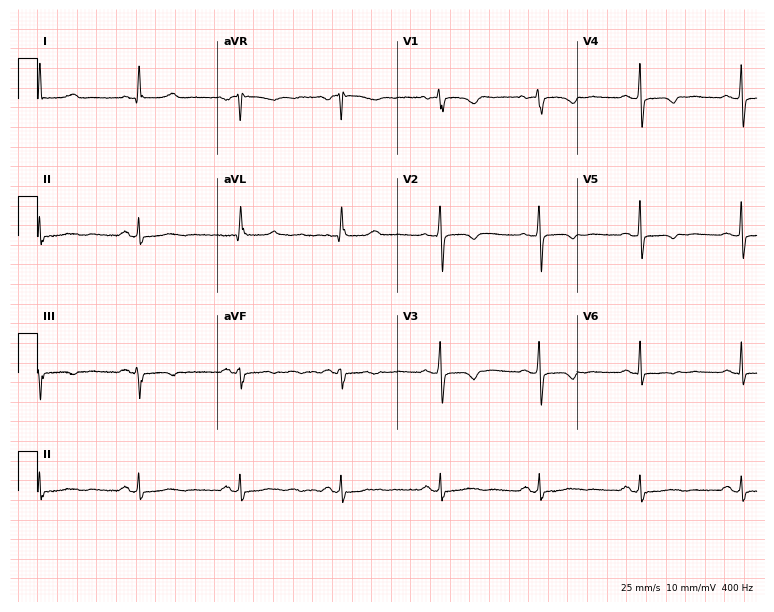
Electrocardiogram, a 55-year-old woman. Overall reading on record: normal ECG.